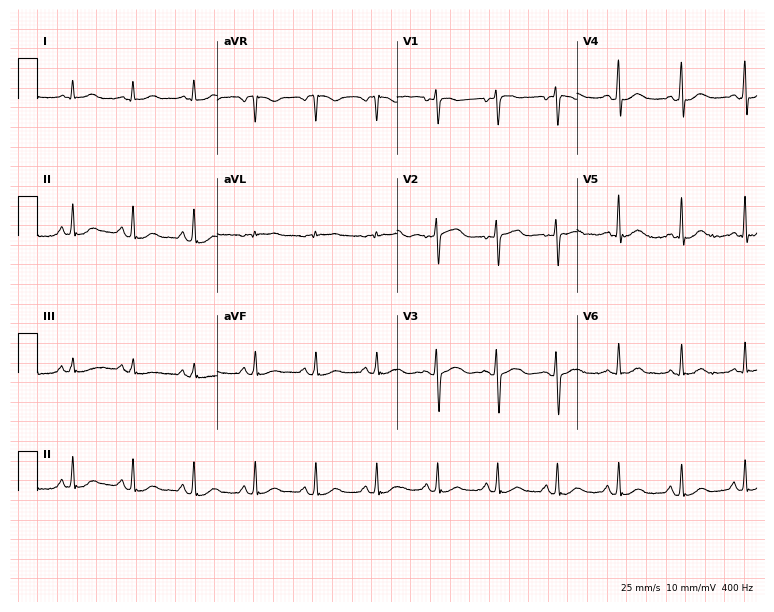
ECG (7.3-second recording at 400 Hz) — a 44-year-old female. Labelled as a normal ECG.